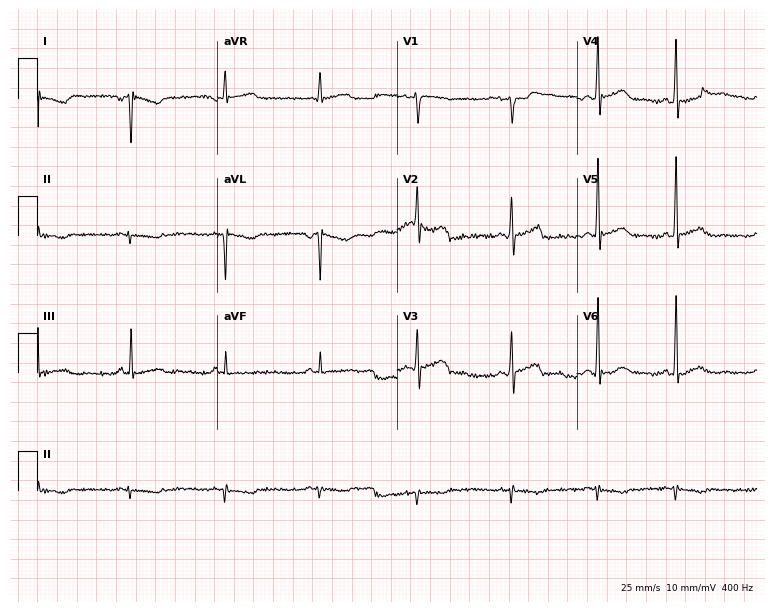
12-lead ECG from a female patient, 43 years old. Screened for six findings — first-degree AV block, right bundle branch block, left bundle branch block, sinus bradycardia, atrial fibrillation, sinus tachycardia — none is recorded. Other findings, if any, are not listed.